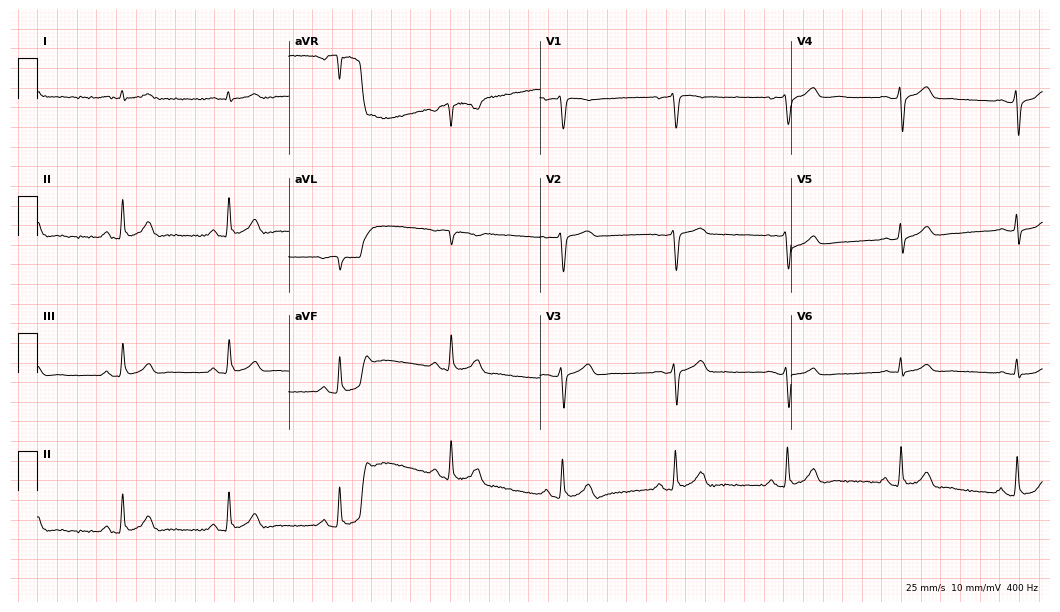
ECG (10.2-second recording at 400 Hz) — a male, 41 years old. Screened for six findings — first-degree AV block, right bundle branch block (RBBB), left bundle branch block (LBBB), sinus bradycardia, atrial fibrillation (AF), sinus tachycardia — none is recorded.